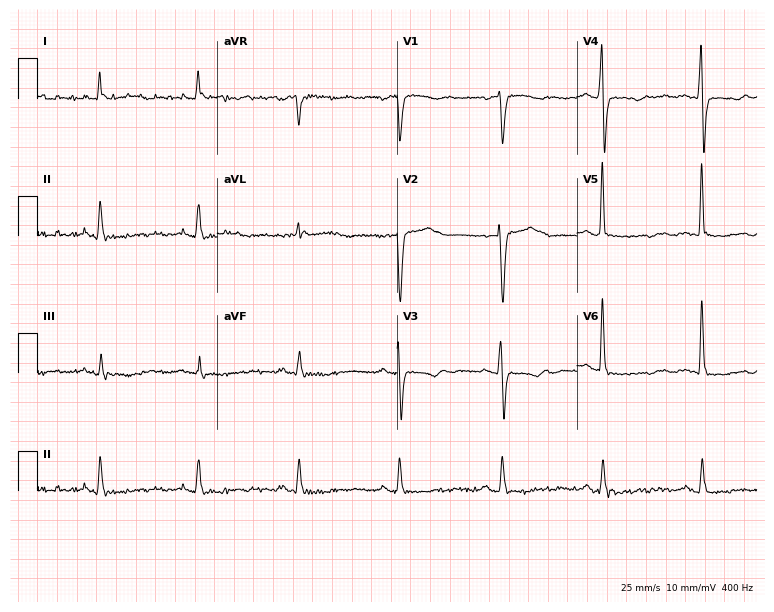
Standard 12-lead ECG recorded from a 64-year-old female patient (7.3-second recording at 400 Hz). None of these six findings is recorded: first-degree AV block, right bundle branch block (RBBB), left bundle branch block (LBBB), sinus bradycardia, atrial fibrillation (AF), sinus tachycardia. Other findings, if any, are not listed.